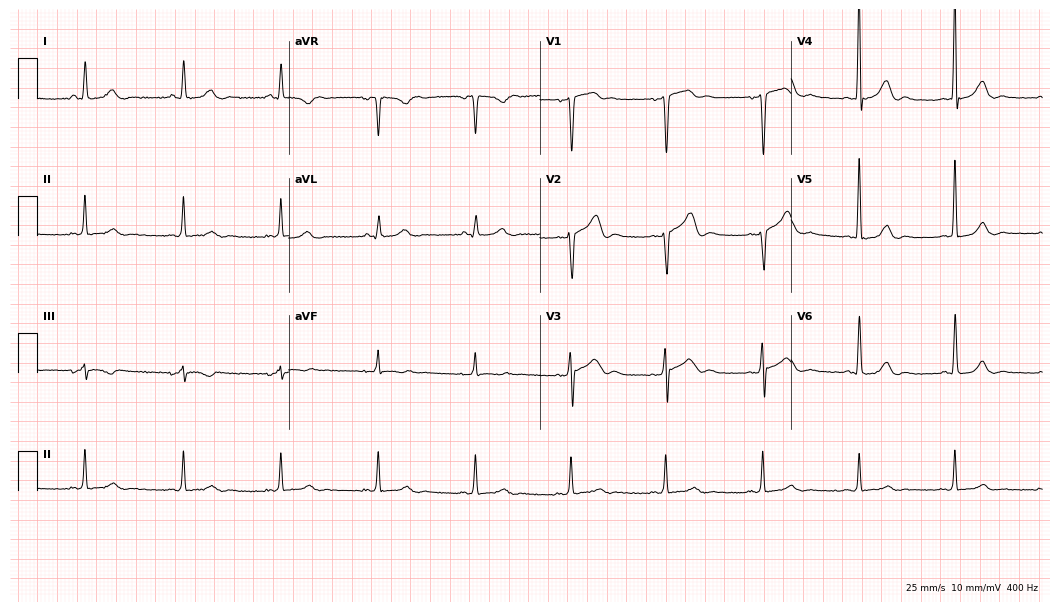
12-lead ECG from a 40-year-old man. No first-degree AV block, right bundle branch block, left bundle branch block, sinus bradycardia, atrial fibrillation or sinus tachycardia recorded for this tracing. Only these six findings were labelled.